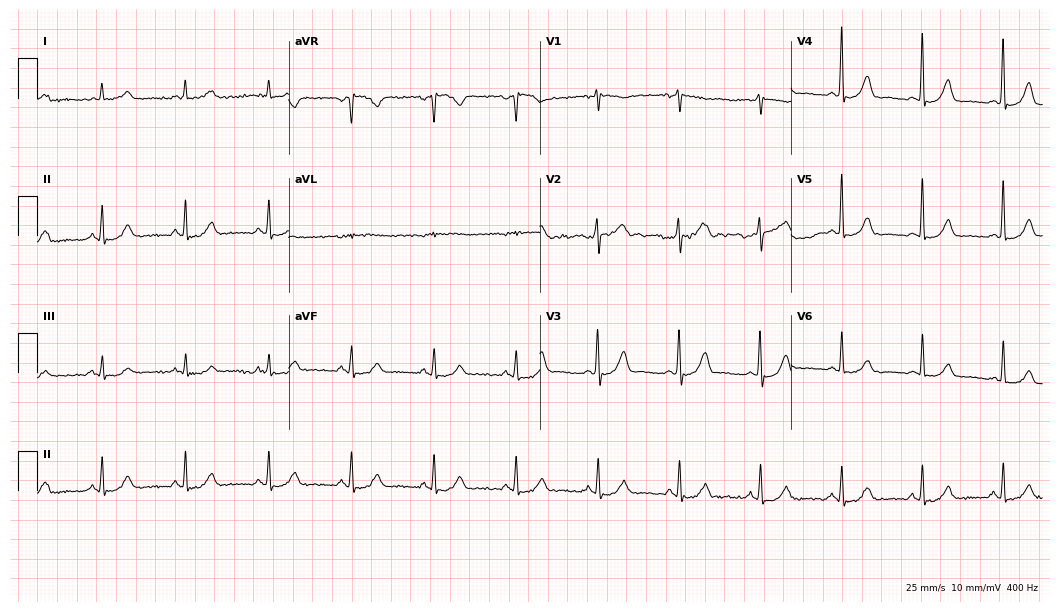
Resting 12-lead electrocardiogram. Patient: a 75-year-old male. Read as a normal ECG.